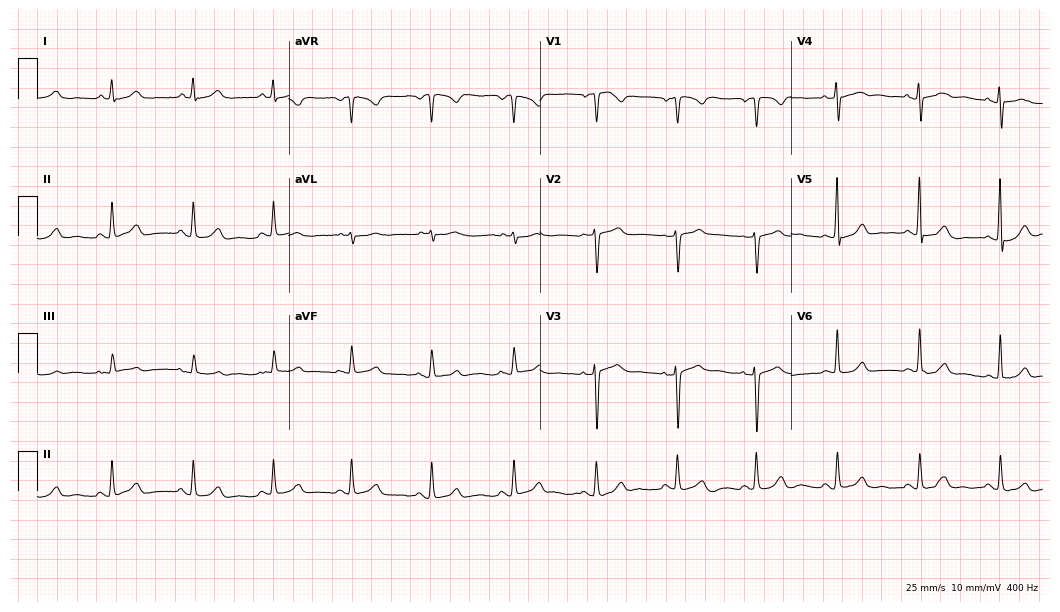
Standard 12-lead ECG recorded from a woman, 61 years old (10.2-second recording at 400 Hz). Read as a normal ECG.